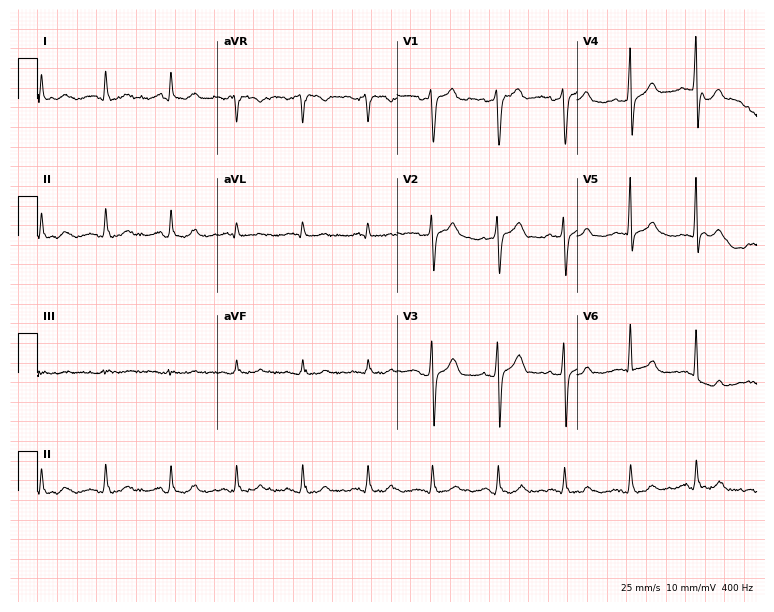
Resting 12-lead electrocardiogram. Patient: a man, 51 years old. Read as a normal ECG.